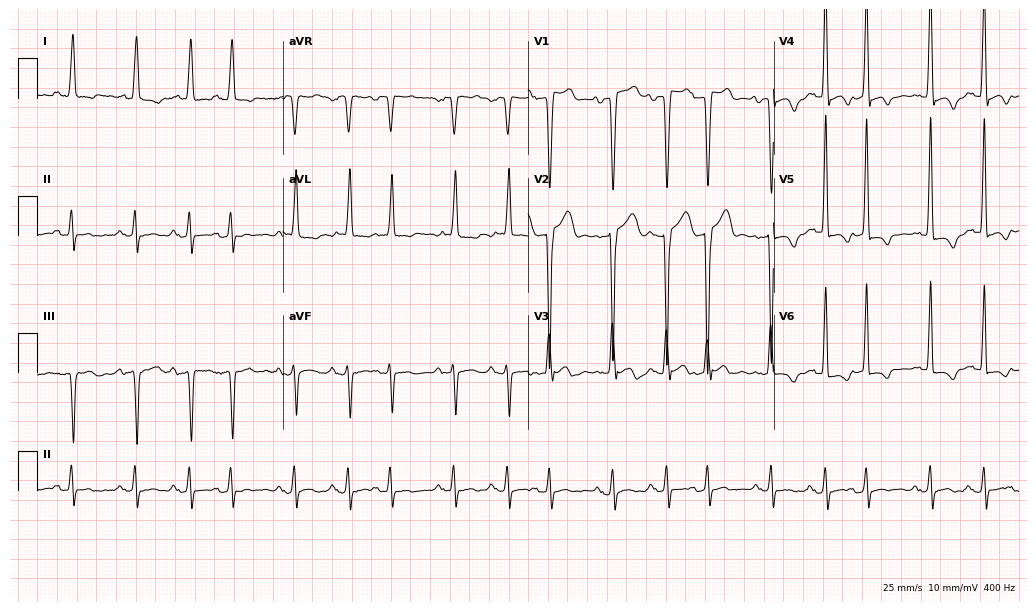
12-lead ECG (10-second recording at 400 Hz) from a woman, 79 years old. Screened for six findings — first-degree AV block, right bundle branch block, left bundle branch block, sinus bradycardia, atrial fibrillation, sinus tachycardia — none is recorded.